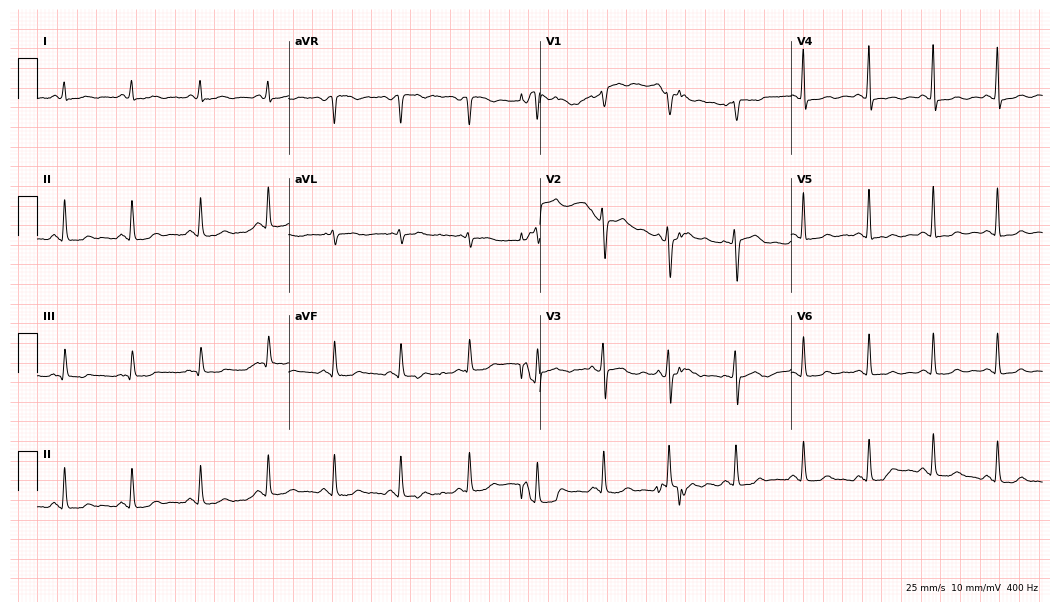
12-lead ECG from a 57-year-old woman. No first-degree AV block, right bundle branch block (RBBB), left bundle branch block (LBBB), sinus bradycardia, atrial fibrillation (AF) or sinus tachycardia recorded for this tracing. Only these six findings were labelled.